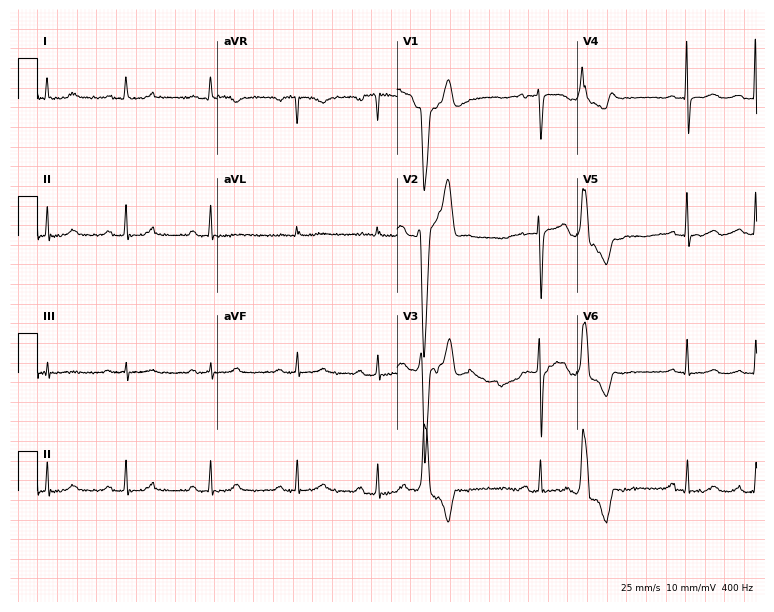
Resting 12-lead electrocardiogram (7.3-second recording at 400 Hz). Patient: a 35-year-old female. None of these six findings is recorded: first-degree AV block, right bundle branch block (RBBB), left bundle branch block (LBBB), sinus bradycardia, atrial fibrillation (AF), sinus tachycardia.